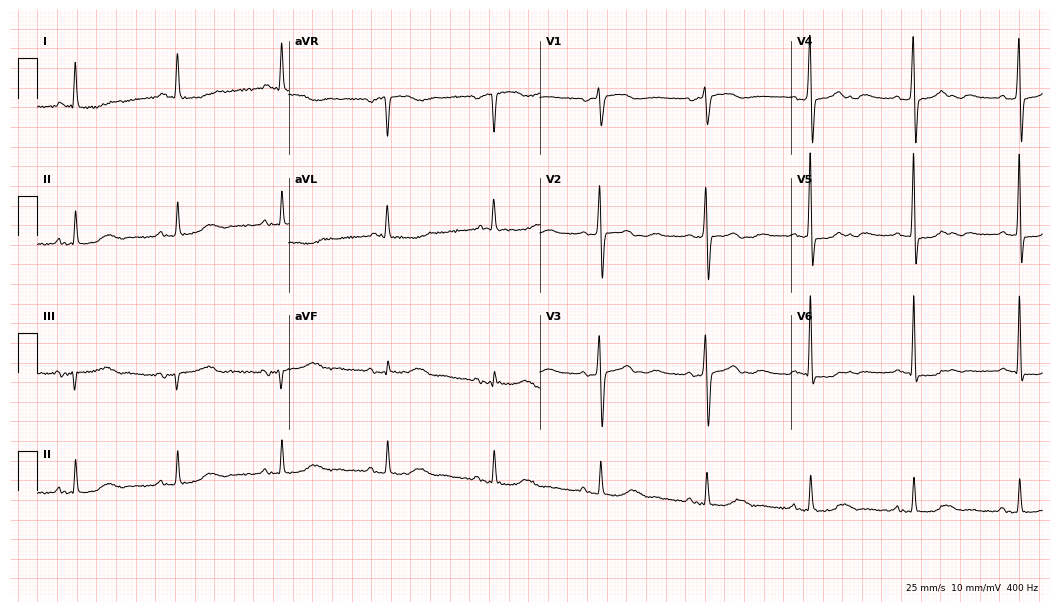
Electrocardiogram (10.2-second recording at 400 Hz), a woman, 65 years old. Of the six screened findings (first-degree AV block, right bundle branch block, left bundle branch block, sinus bradycardia, atrial fibrillation, sinus tachycardia), none is recorded. Findings outside these six are not listed.